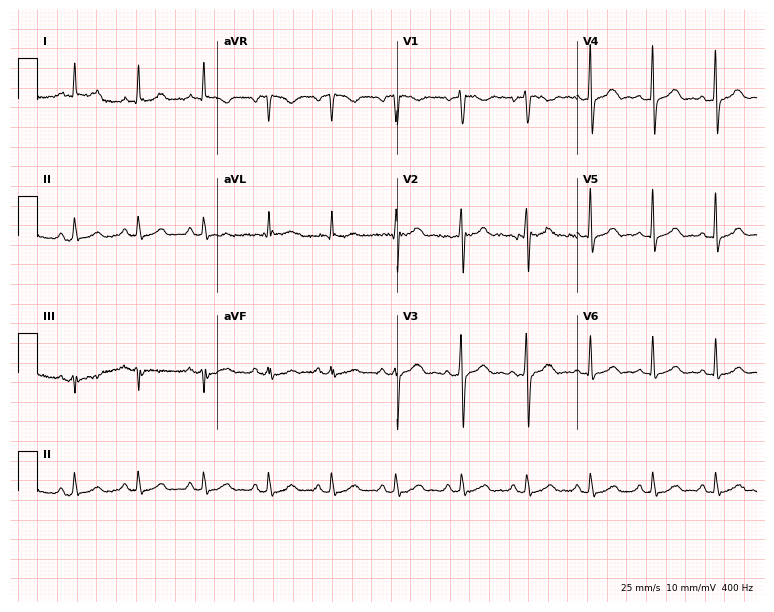
12-lead ECG from a 47-year-old man. Recorded interpretation: within normal limits.